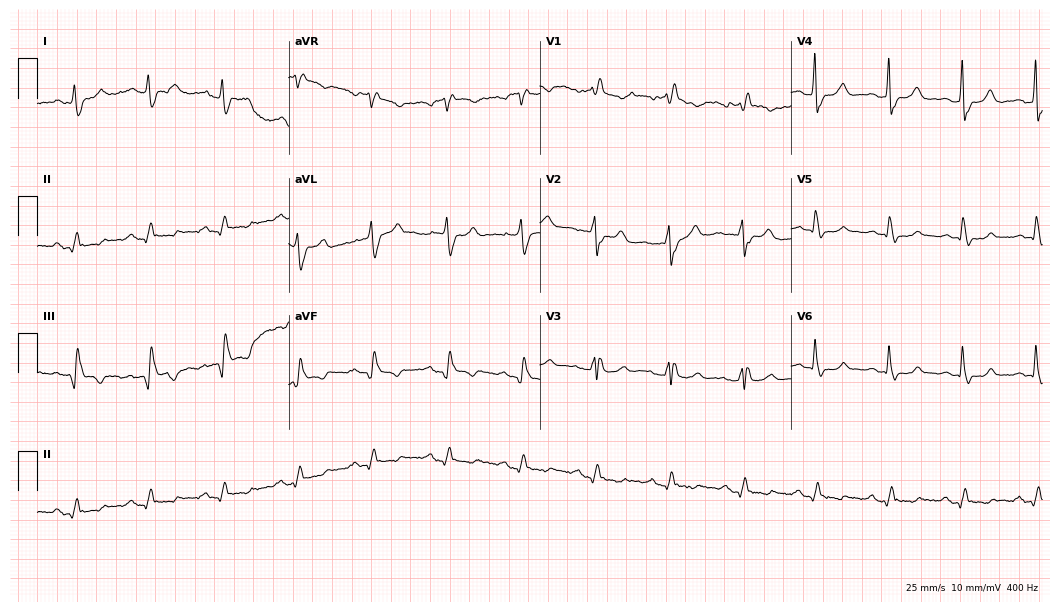
Resting 12-lead electrocardiogram (10.2-second recording at 400 Hz). Patient: a man, 64 years old. None of these six findings is recorded: first-degree AV block, right bundle branch block, left bundle branch block, sinus bradycardia, atrial fibrillation, sinus tachycardia. Findings outside these six are not listed.